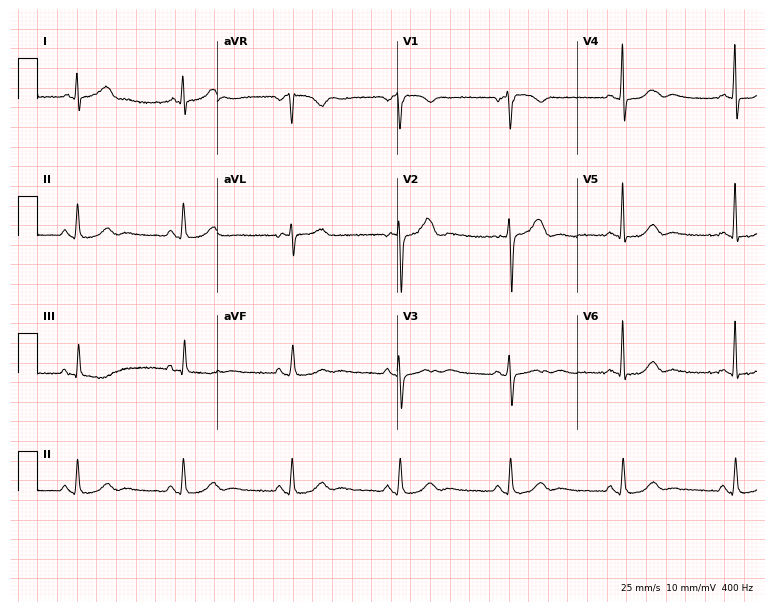
Standard 12-lead ECG recorded from a 59-year-old female patient (7.3-second recording at 400 Hz). Read as a normal ECG.